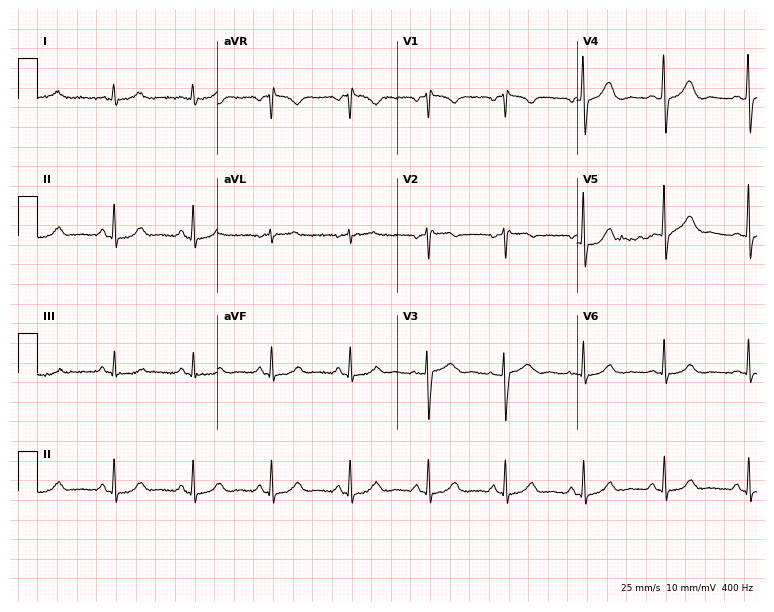
ECG — a 48-year-old female patient. Screened for six findings — first-degree AV block, right bundle branch block, left bundle branch block, sinus bradycardia, atrial fibrillation, sinus tachycardia — none is recorded.